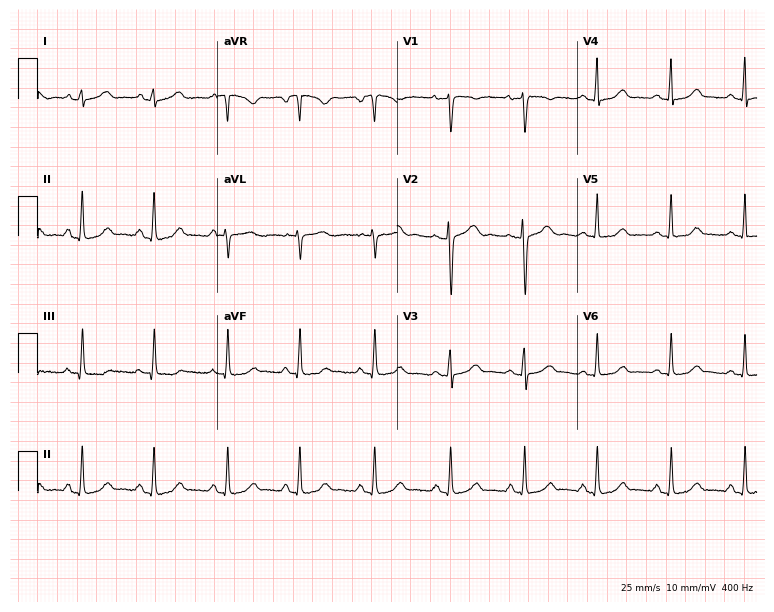
Electrocardiogram, a woman, 22 years old. Overall reading on record: normal ECG.